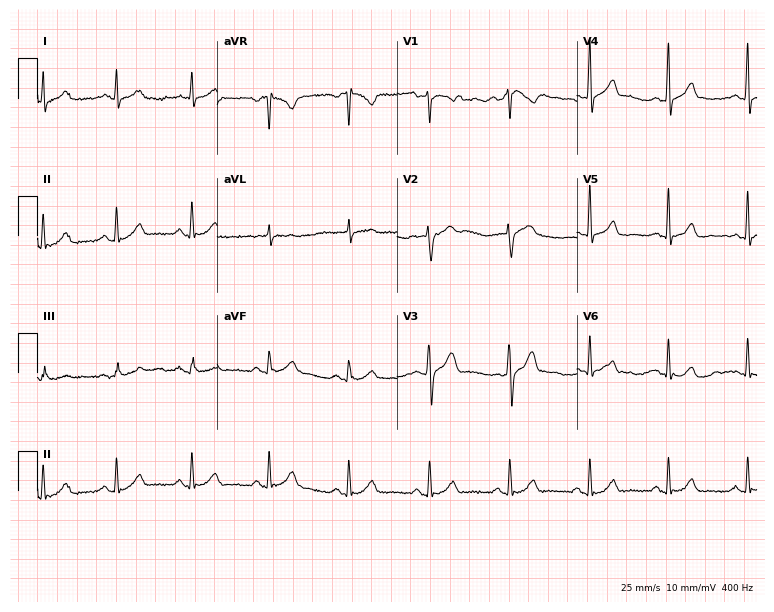
Resting 12-lead electrocardiogram. Patient: a woman, 53 years old. Read as a normal ECG.